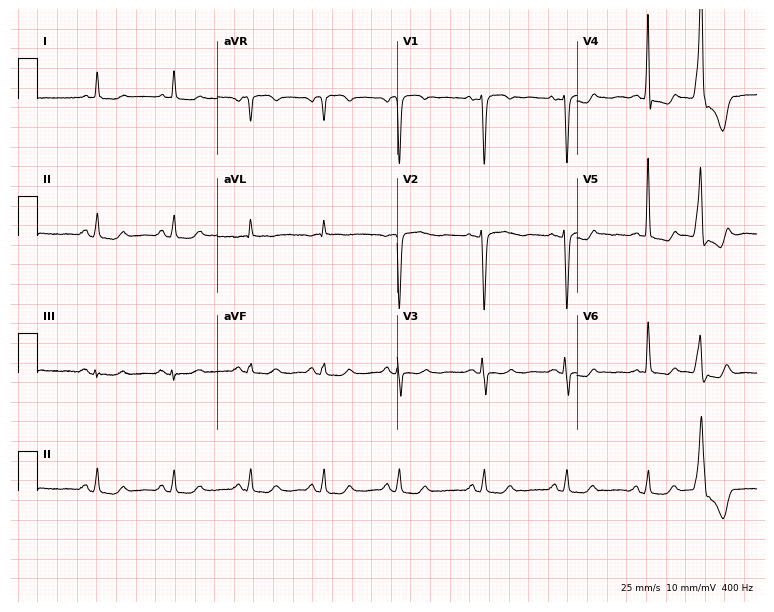
Electrocardiogram (7.3-second recording at 400 Hz), a woman, 61 years old. Of the six screened findings (first-degree AV block, right bundle branch block, left bundle branch block, sinus bradycardia, atrial fibrillation, sinus tachycardia), none is recorded.